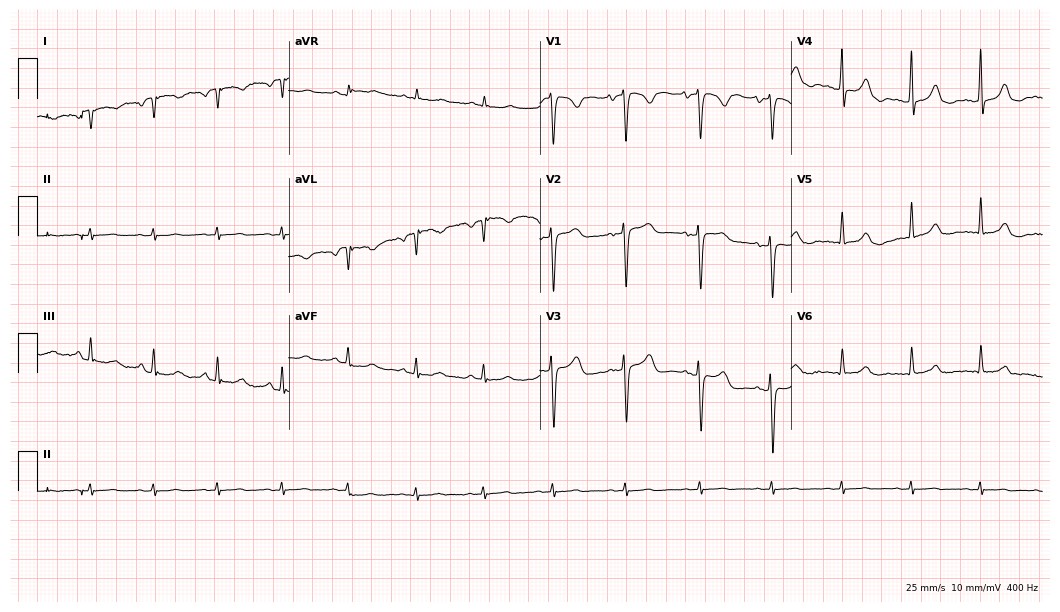
Standard 12-lead ECG recorded from a female patient, 65 years old. None of these six findings is recorded: first-degree AV block, right bundle branch block, left bundle branch block, sinus bradycardia, atrial fibrillation, sinus tachycardia.